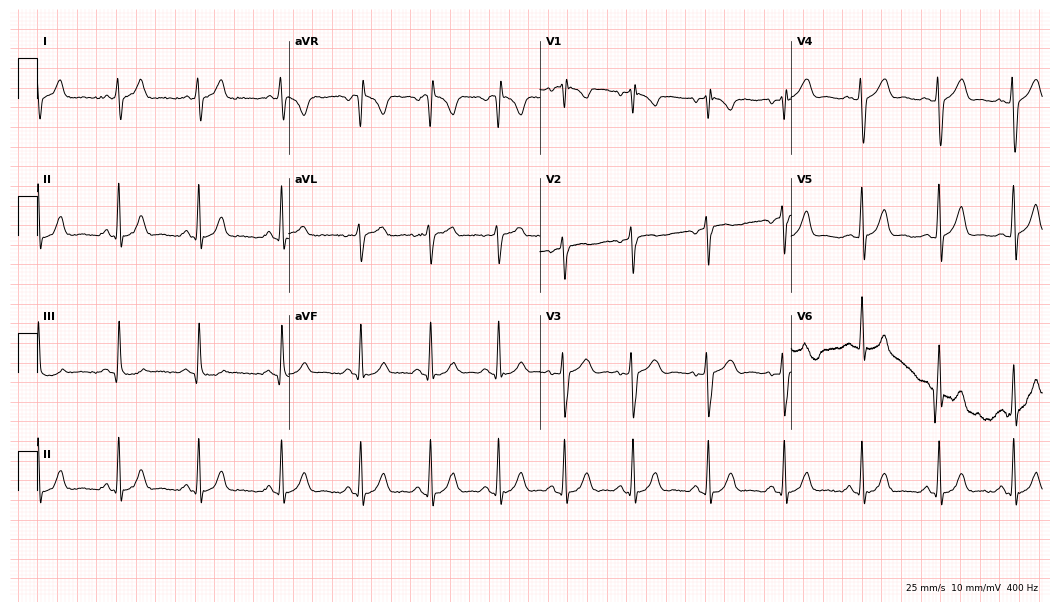
ECG (10.2-second recording at 400 Hz) — a 19-year-old male patient. Labelled as a normal ECG.